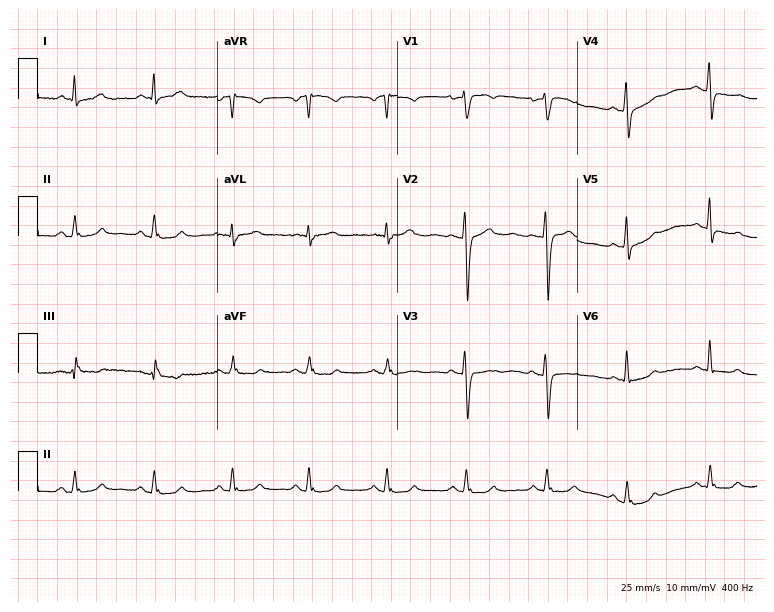
12-lead ECG from a 57-year-old woman. Recorded interpretation: within normal limits.